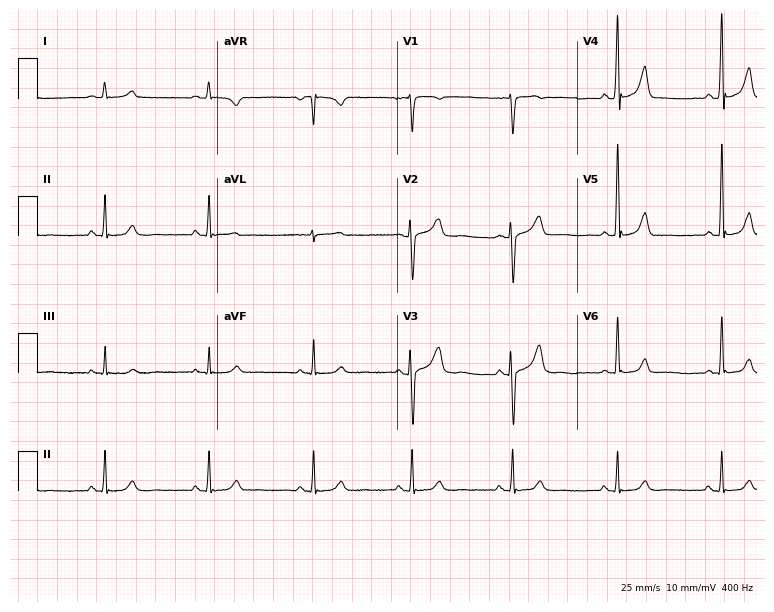
Resting 12-lead electrocardiogram (7.3-second recording at 400 Hz). Patient: a 49-year-old female. Read as a normal ECG.